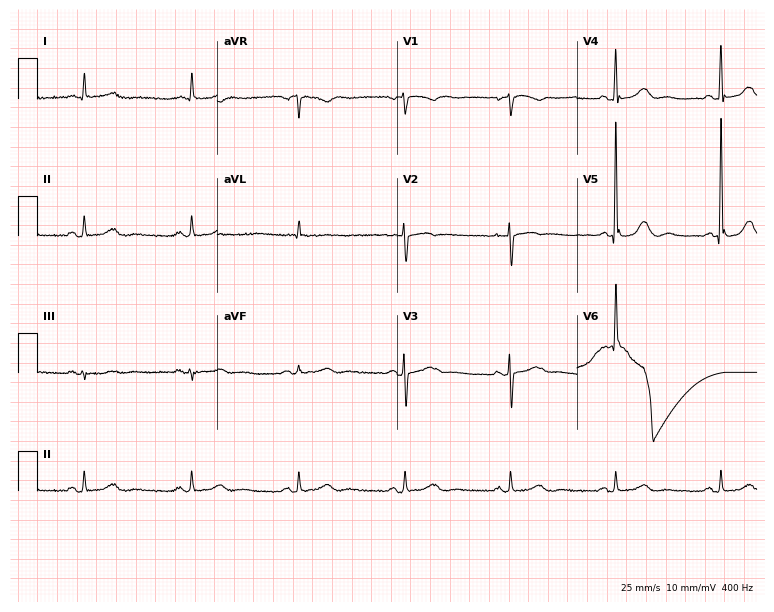
Resting 12-lead electrocardiogram. Patient: a female, 84 years old. Read as a normal ECG.